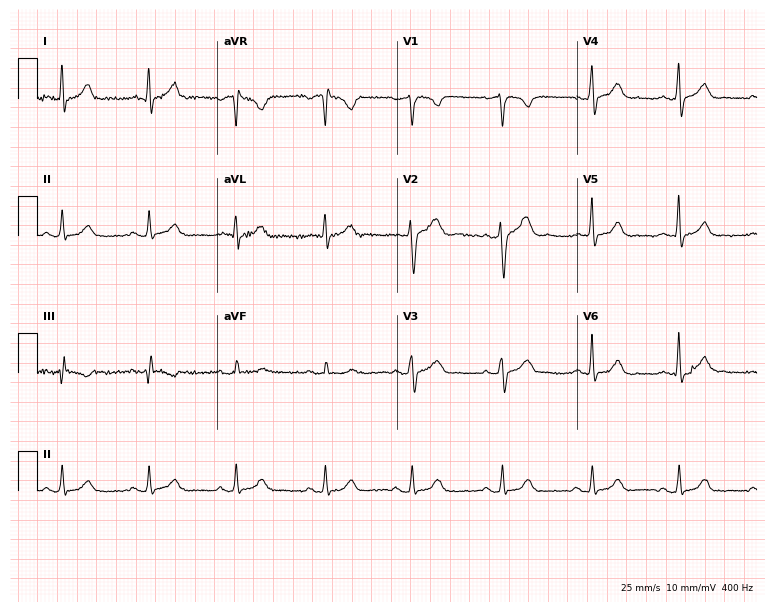
Electrocardiogram, a man, 39 years old. Of the six screened findings (first-degree AV block, right bundle branch block, left bundle branch block, sinus bradycardia, atrial fibrillation, sinus tachycardia), none is recorded.